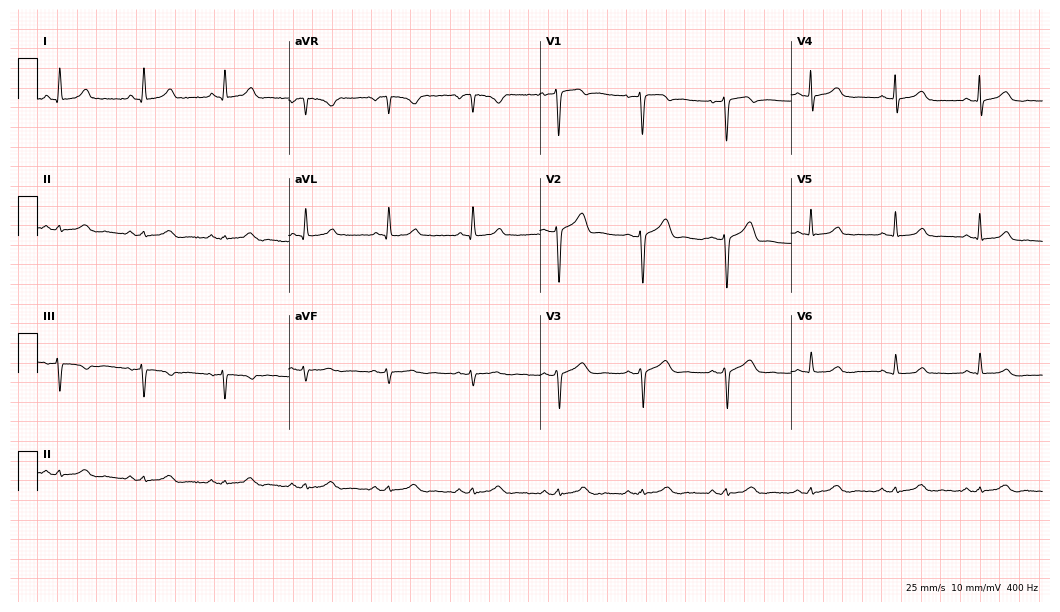
Electrocardiogram (10.2-second recording at 400 Hz), a female patient, 48 years old. Overall reading on record: normal ECG.